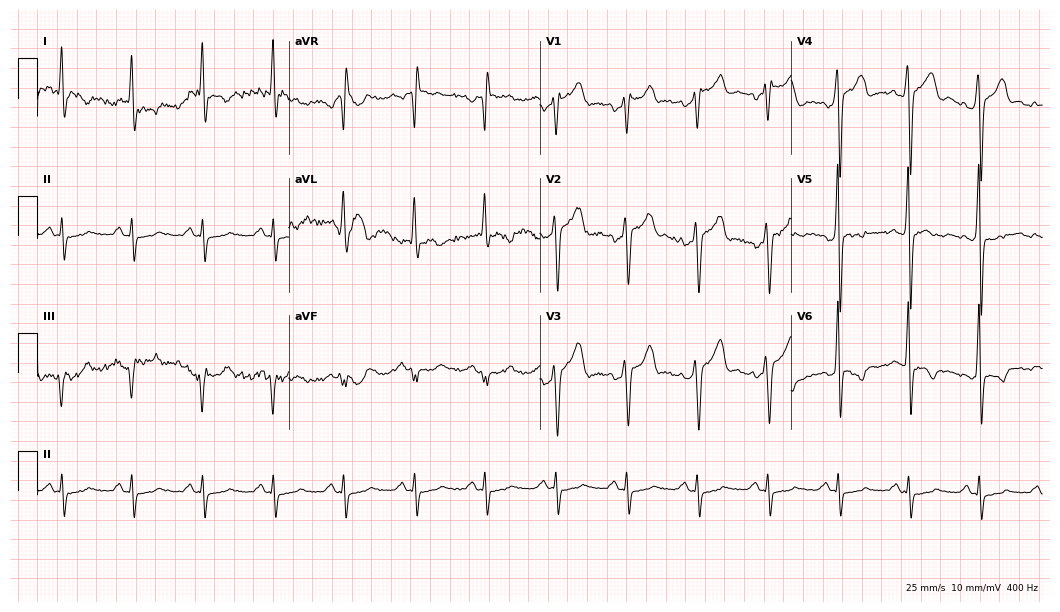
Resting 12-lead electrocardiogram (10.2-second recording at 400 Hz). Patient: a 55-year-old man. None of these six findings is recorded: first-degree AV block, right bundle branch block, left bundle branch block, sinus bradycardia, atrial fibrillation, sinus tachycardia. Findings outside these six are not listed.